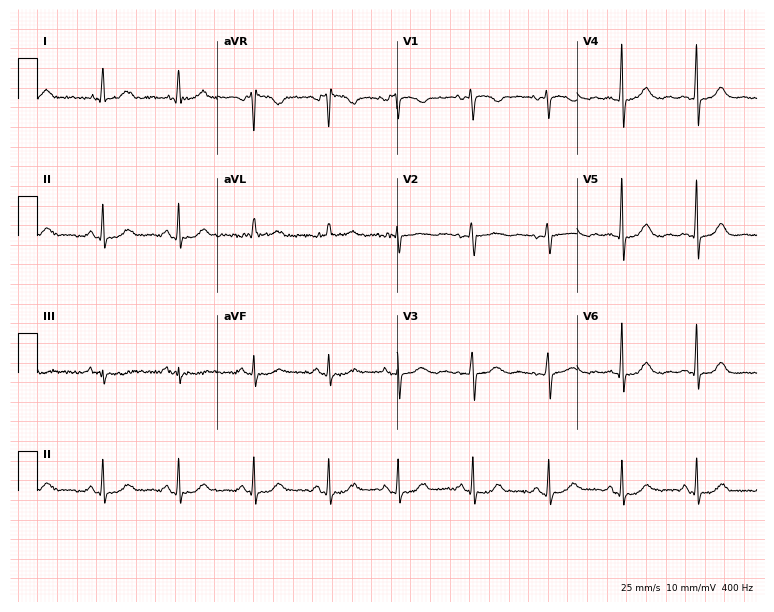
Resting 12-lead electrocardiogram. Patient: a 48-year-old female. Read as a normal ECG.